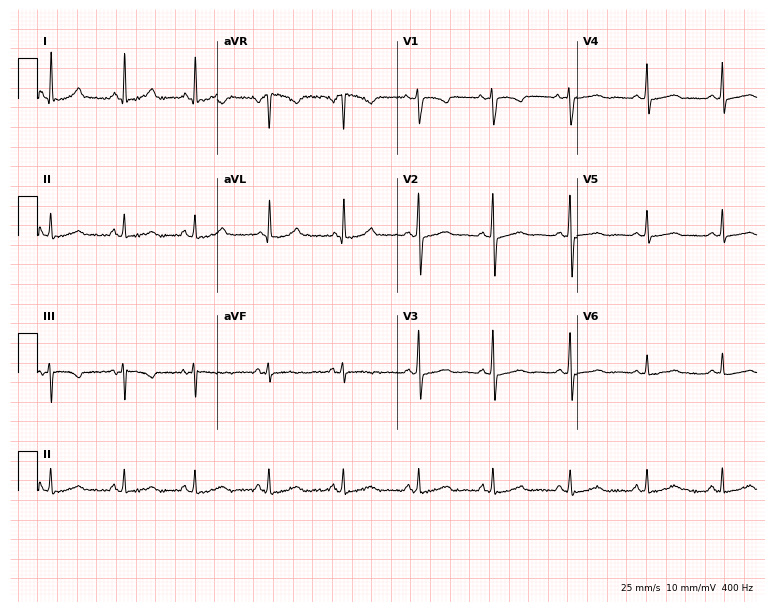
12-lead ECG from a woman, 45 years old. No first-degree AV block, right bundle branch block, left bundle branch block, sinus bradycardia, atrial fibrillation or sinus tachycardia recorded for this tracing.